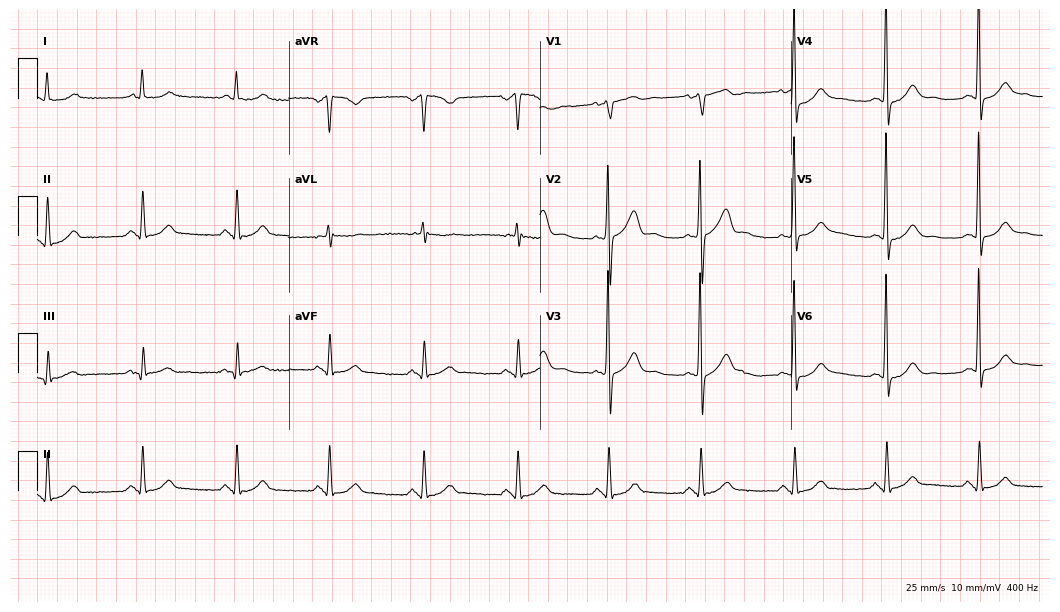
Electrocardiogram (10.2-second recording at 400 Hz), a 57-year-old woman. Of the six screened findings (first-degree AV block, right bundle branch block, left bundle branch block, sinus bradycardia, atrial fibrillation, sinus tachycardia), none is recorded.